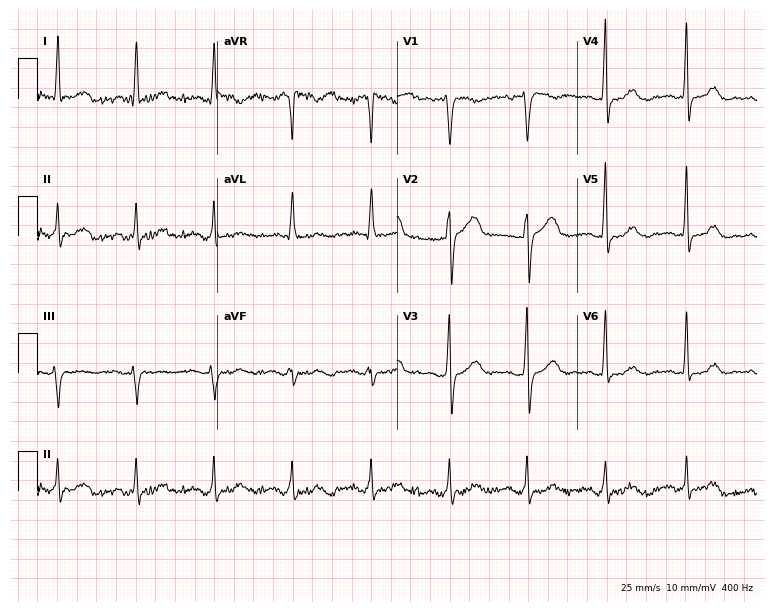
Resting 12-lead electrocardiogram (7.3-second recording at 400 Hz). Patient: a 66-year-old male. None of these six findings is recorded: first-degree AV block, right bundle branch block (RBBB), left bundle branch block (LBBB), sinus bradycardia, atrial fibrillation (AF), sinus tachycardia.